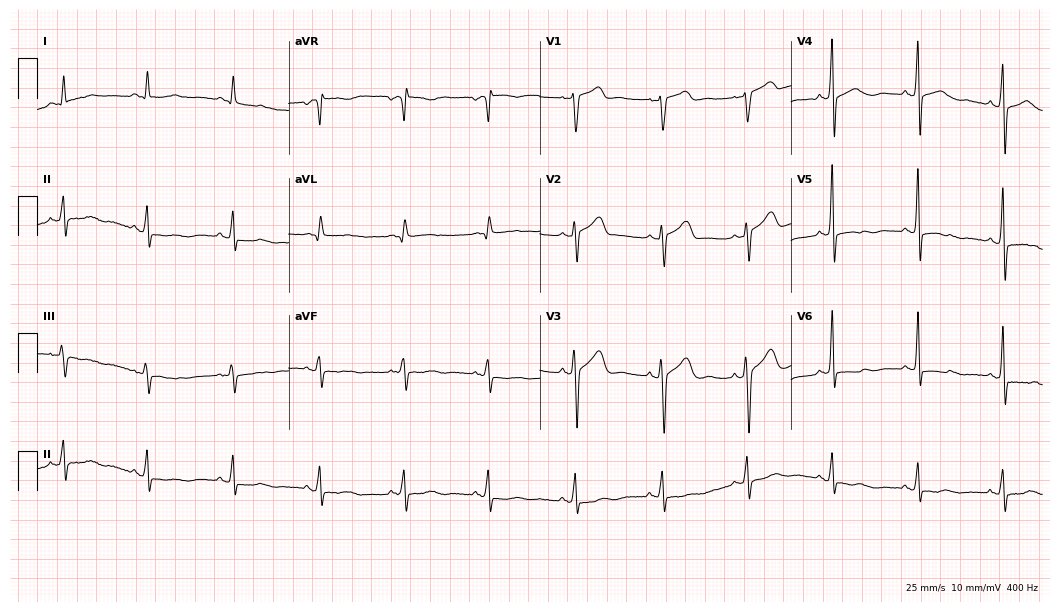
12-lead ECG from a man, 72 years old (10.2-second recording at 400 Hz). No first-degree AV block, right bundle branch block, left bundle branch block, sinus bradycardia, atrial fibrillation or sinus tachycardia recorded for this tracing. Only these six findings were labelled.